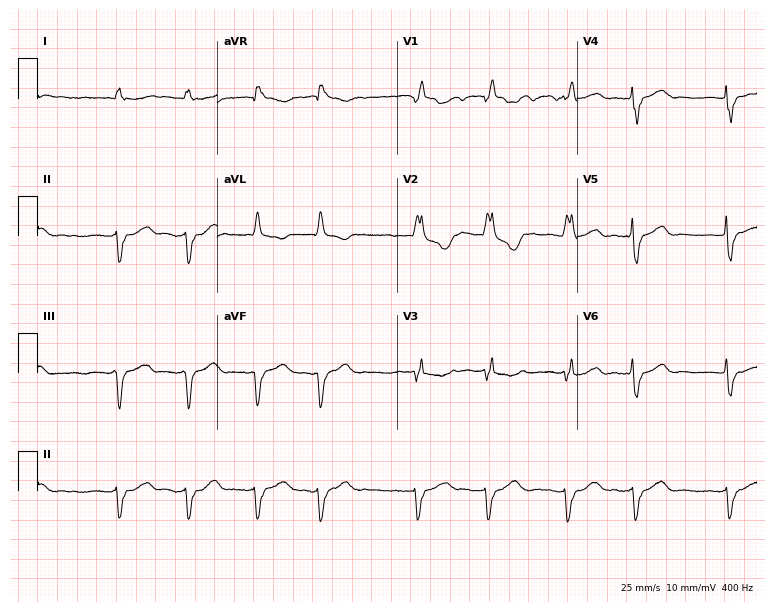
Resting 12-lead electrocardiogram (7.3-second recording at 400 Hz). Patient: a female, 75 years old. The tracing shows atrial fibrillation.